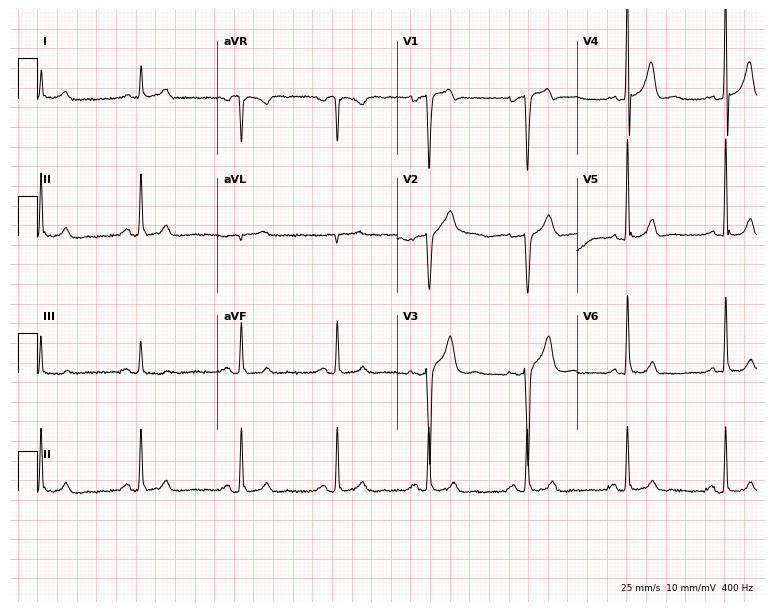
Resting 12-lead electrocardiogram. Patient: a male, 59 years old. None of these six findings is recorded: first-degree AV block, right bundle branch block (RBBB), left bundle branch block (LBBB), sinus bradycardia, atrial fibrillation (AF), sinus tachycardia. Findings outside these six are not listed.